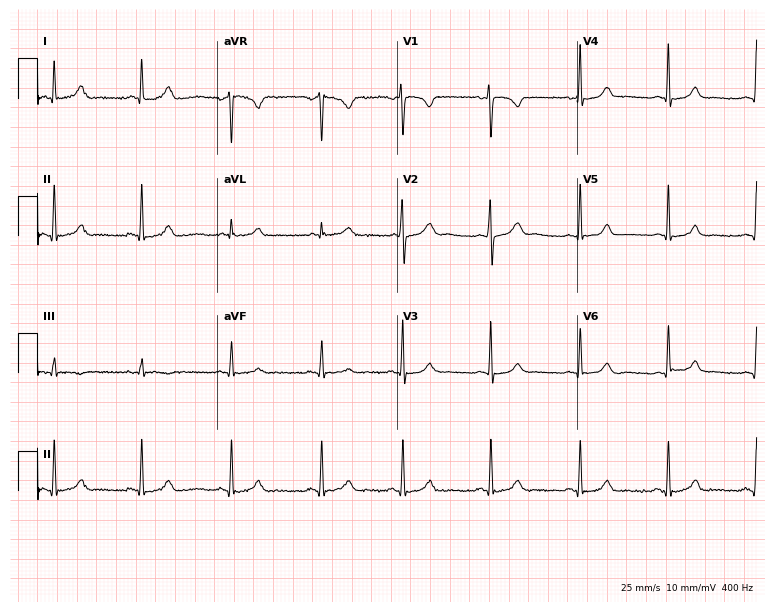
ECG — a 21-year-old woman. Screened for six findings — first-degree AV block, right bundle branch block, left bundle branch block, sinus bradycardia, atrial fibrillation, sinus tachycardia — none is recorded.